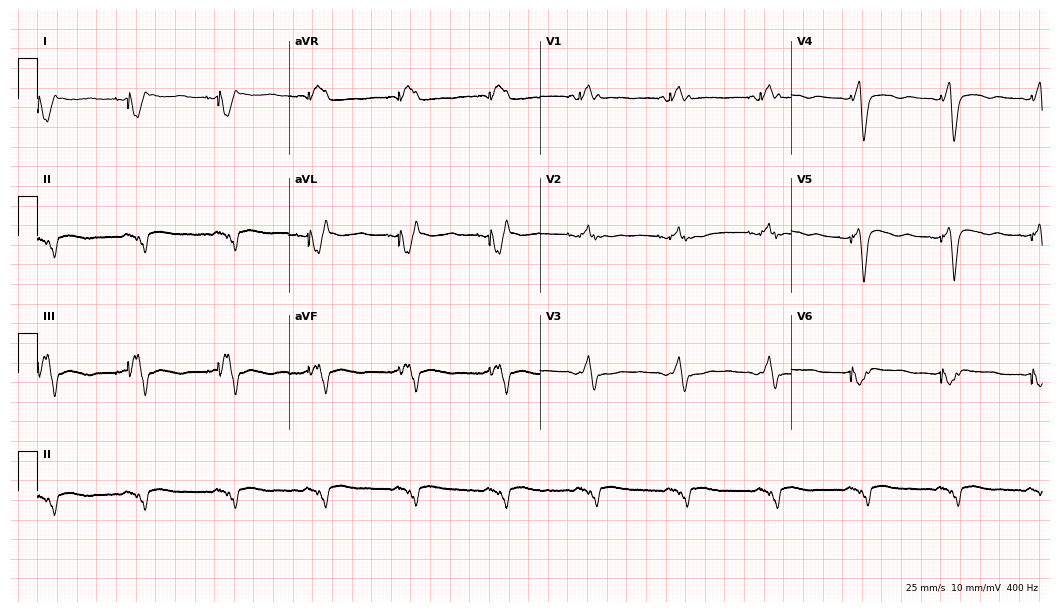
Resting 12-lead electrocardiogram (10.2-second recording at 400 Hz). Patient: a 51-year-old woman. None of these six findings is recorded: first-degree AV block, right bundle branch block (RBBB), left bundle branch block (LBBB), sinus bradycardia, atrial fibrillation (AF), sinus tachycardia. Findings outside these six are not listed.